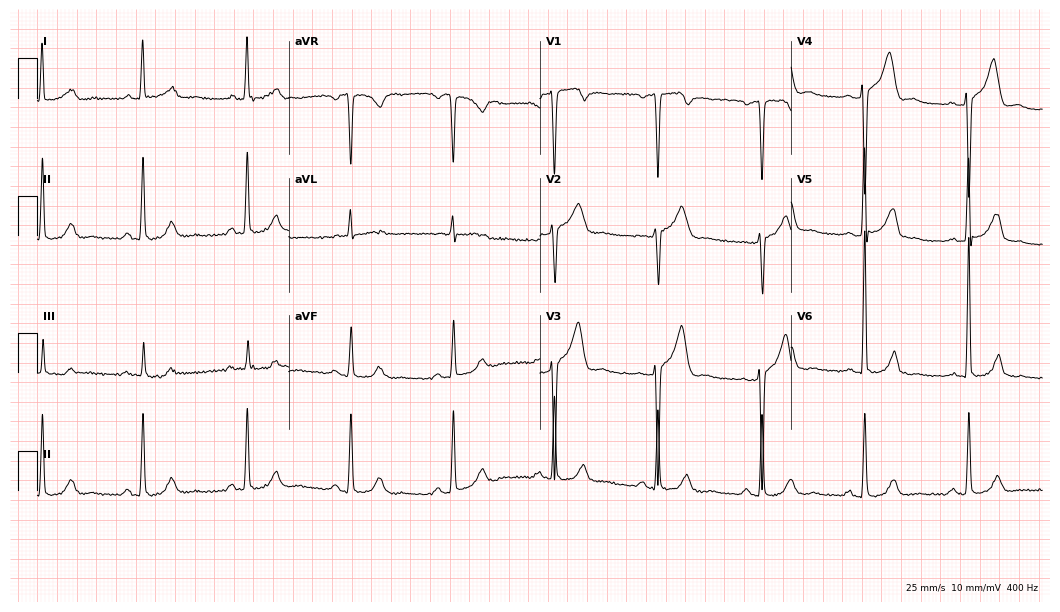
Resting 12-lead electrocardiogram (10.2-second recording at 400 Hz). Patient: a 37-year-old male. Read as a normal ECG.